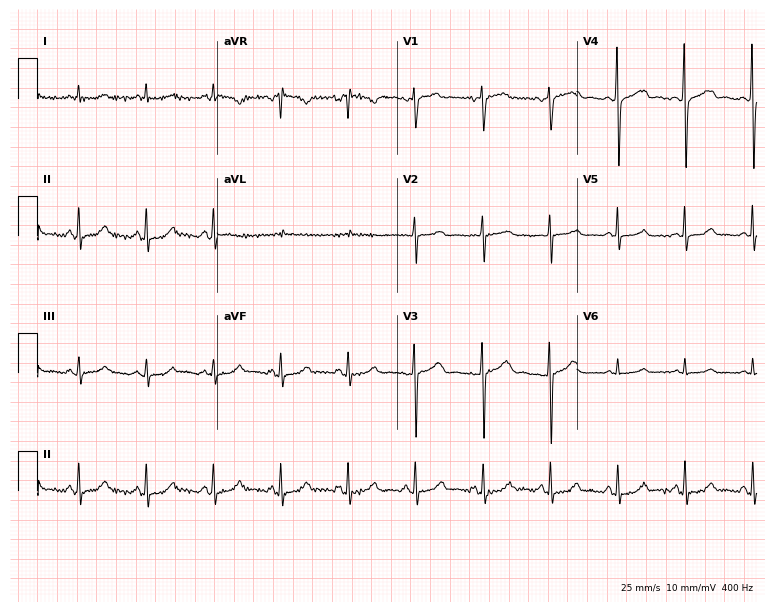
12-lead ECG from an 81-year-old female. No first-degree AV block, right bundle branch block, left bundle branch block, sinus bradycardia, atrial fibrillation or sinus tachycardia recorded for this tracing. Other findings, if any, are not listed.